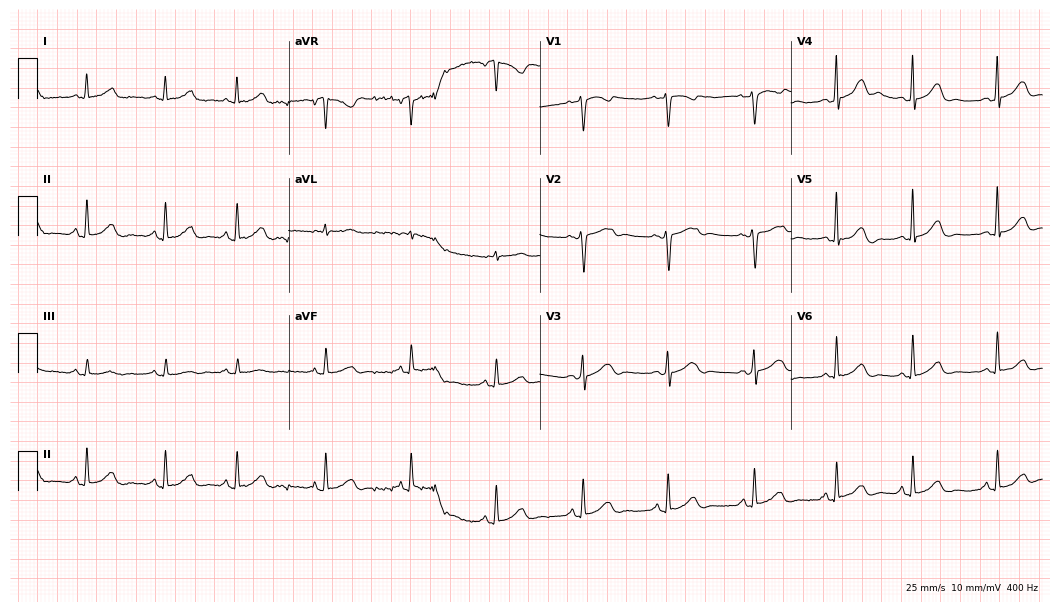
12-lead ECG from a 45-year-old female (10.2-second recording at 400 Hz). Recorded interpretation: within normal limits.